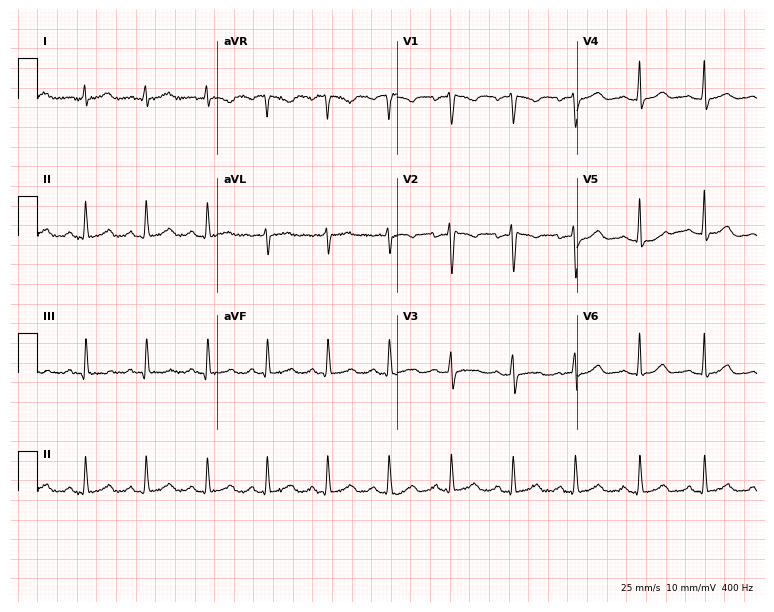
Resting 12-lead electrocardiogram. Patient: a 33-year-old female. Read as a normal ECG.